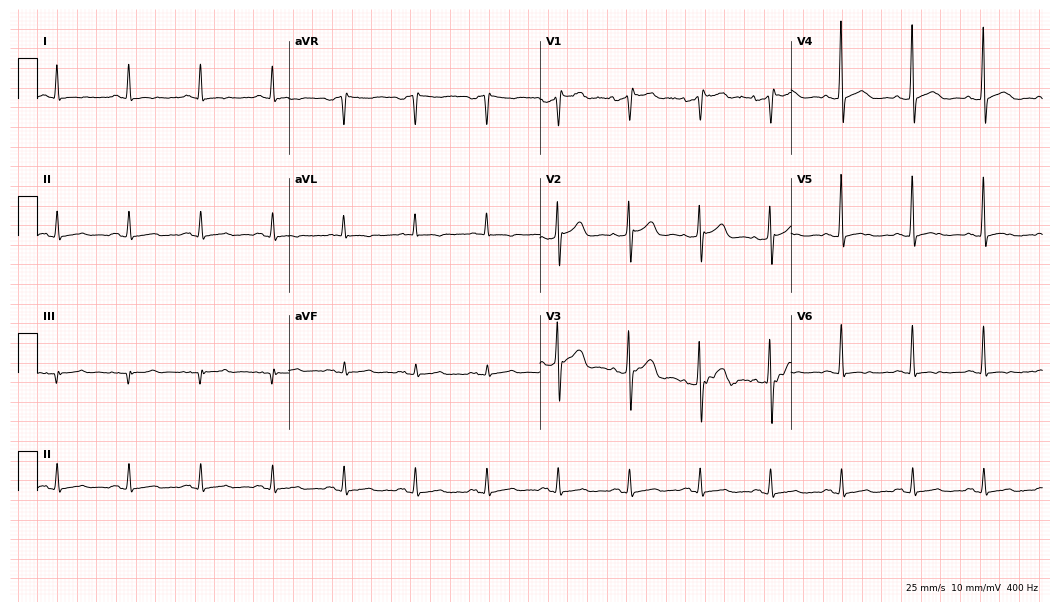
ECG — a 62-year-old male. Screened for six findings — first-degree AV block, right bundle branch block (RBBB), left bundle branch block (LBBB), sinus bradycardia, atrial fibrillation (AF), sinus tachycardia — none is recorded. Other findings, if any, are not listed.